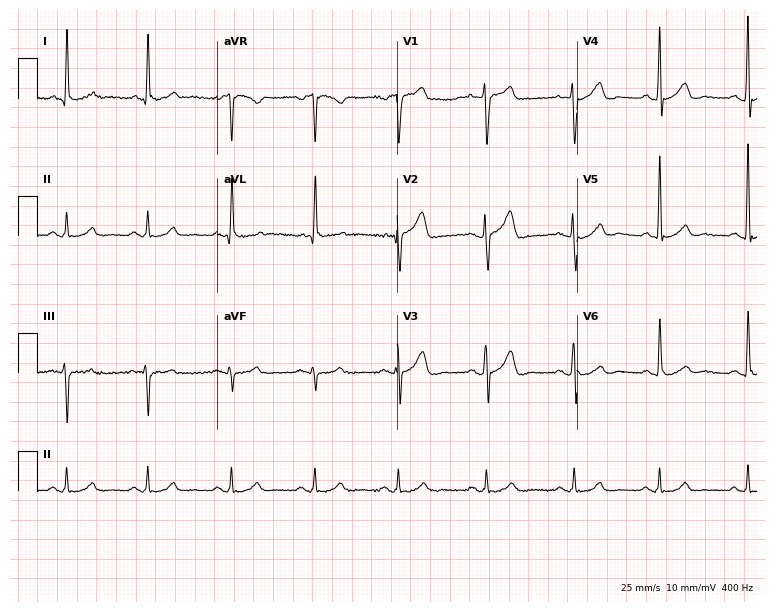
Electrocardiogram, a 66-year-old male. Overall reading on record: normal ECG.